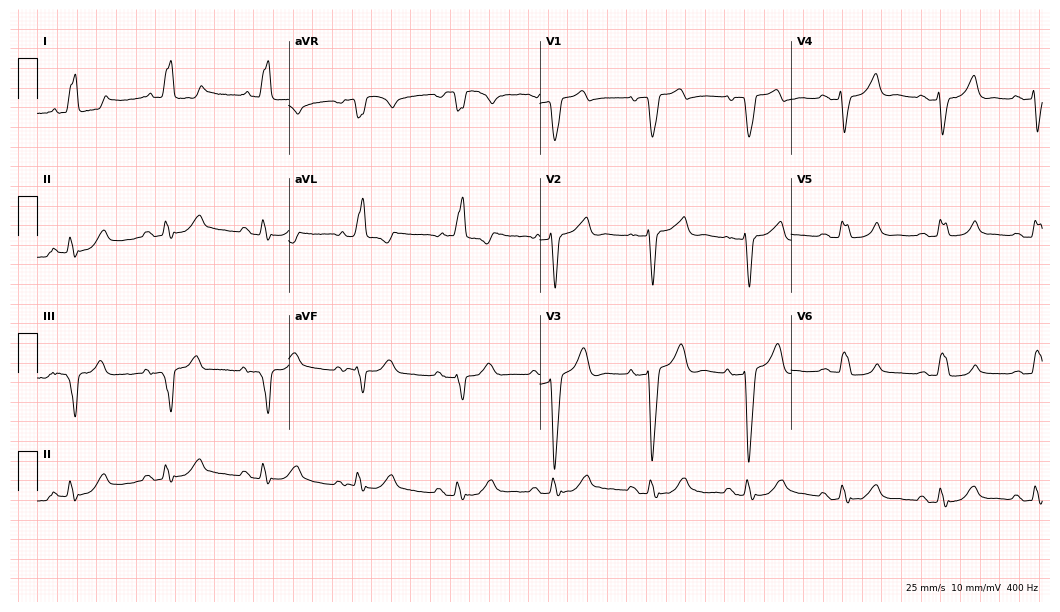
12-lead ECG from a female, 82 years old. Shows left bundle branch block (LBBB).